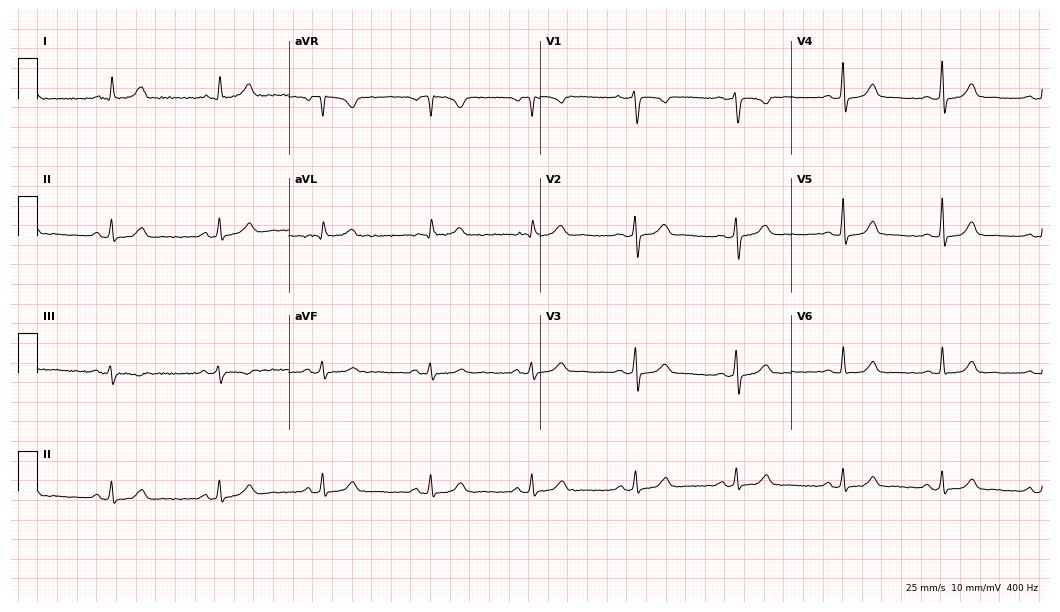
Standard 12-lead ECG recorded from a 42-year-old female patient. Read as a normal ECG.